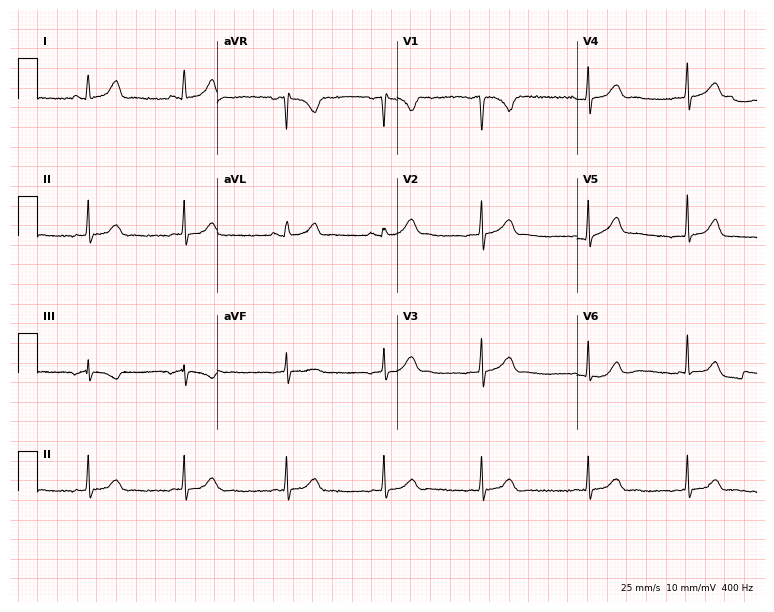
12-lead ECG from a 22-year-old woman (7.3-second recording at 400 Hz). Recorded interpretation: within normal limits.